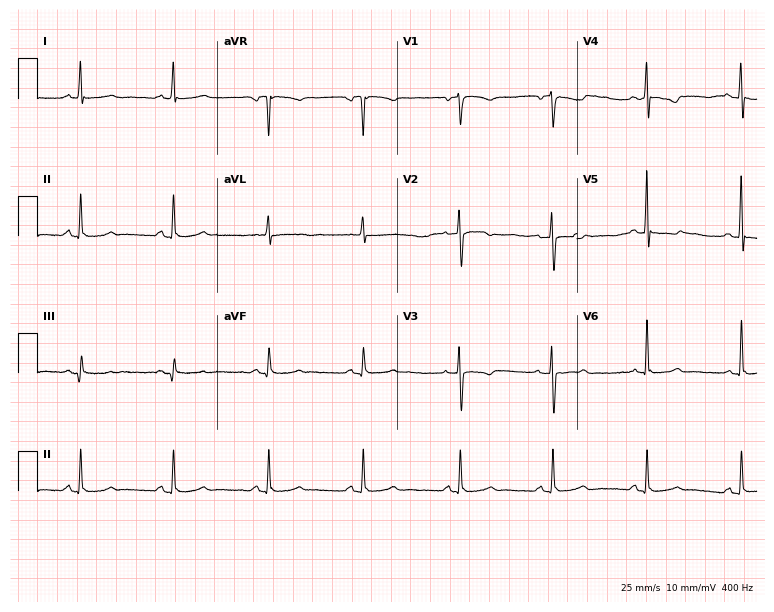
ECG — a woman, 48 years old. Screened for six findings — first-degree AV block, right bundle branch block (RBBB), left bundle branch block (LBBB), sinus bradycardia, atrial fibrillation (AF), sinus tachycardia — none is recorded. Findings outside these six are not listed.